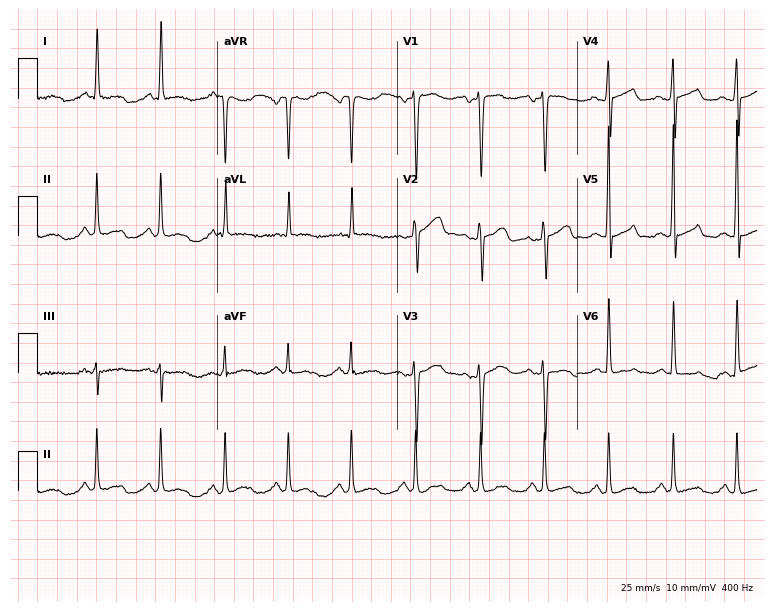
12-lead ECG from a 32-year-old female patient. Labelled as a normal ECG.